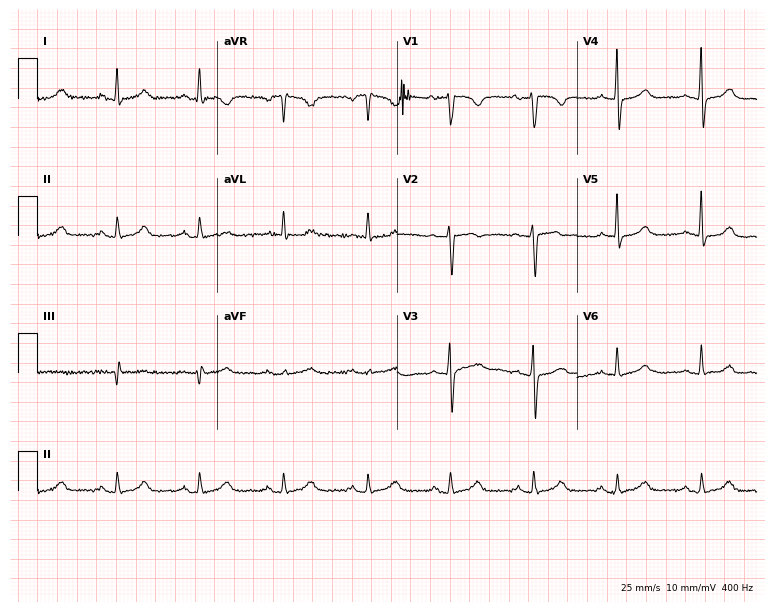
12-lead ECG from a 69-year-old female patient. Screened for six findings — first-degree AV block, right bundle branch block, left bundle branch block, sinus bradycardia, atrial fibrillation, sinus tachycardia — none is recorded. Other findings, if any, are not listed.